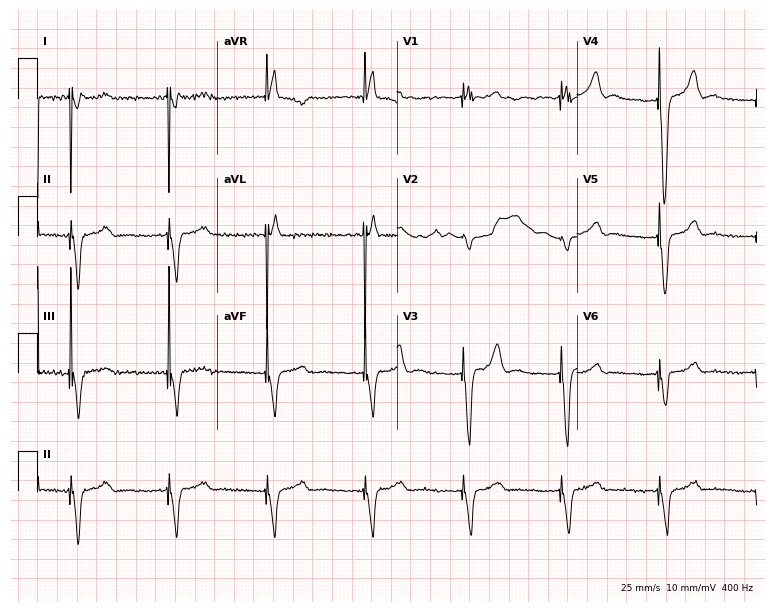
Standard 12-lead ECG recorded from a 73-year-old man. None of these six findings is recorded: first-degree AV block, right bundle branch block (RBBB), left bundle branch block (LBBB), sinus bradycardia, atrial fibrillation (AF), sinus tachycardia.